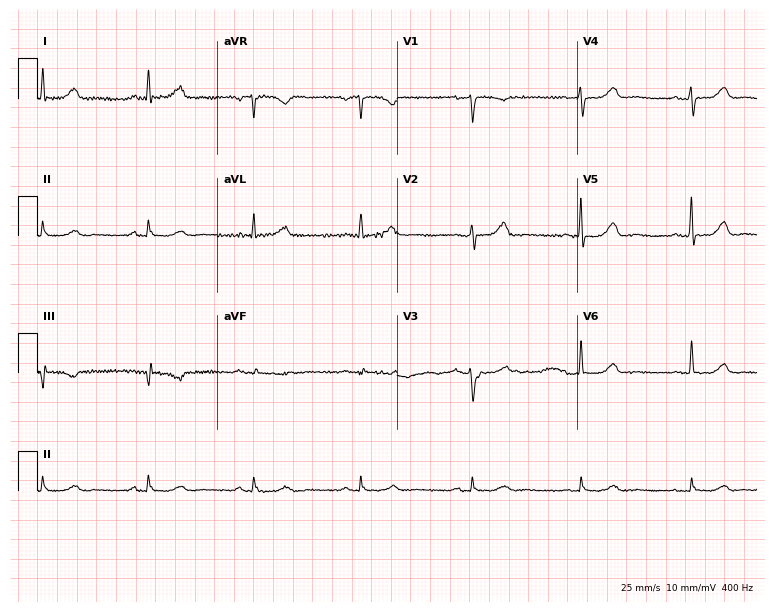
Resting 12-lead electrocardiogram (7.3-second recording at 400 Hz). Patient: a 69-year-old female. None of these six findings is recorded: first-degree AV block, right bundle branch block, left bundle branch block, sinus bradycardia, atrial fibrillation, sinus tachycardia.